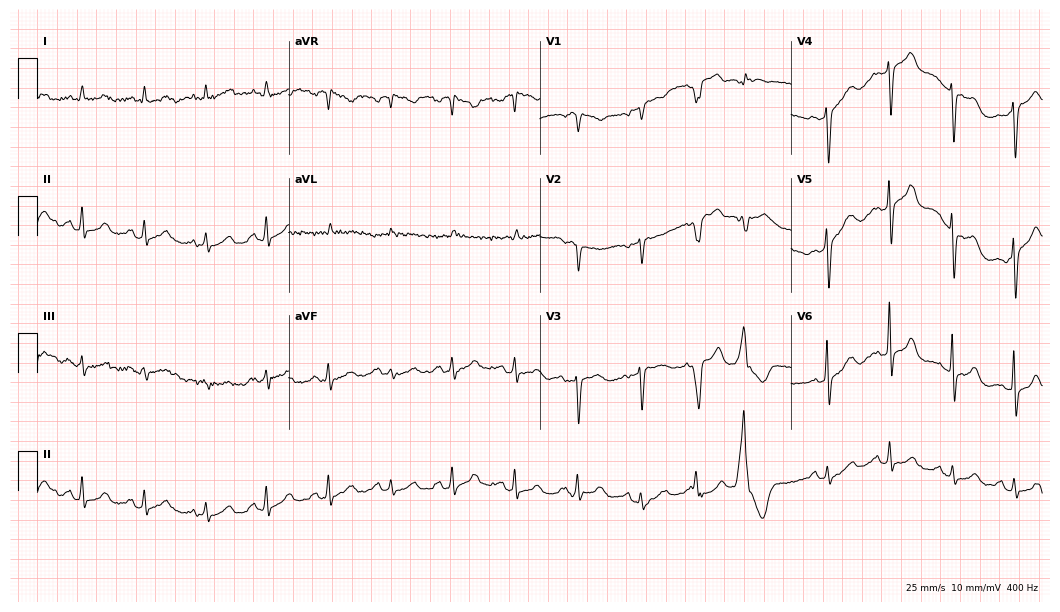
12-lead ECG from an 85-year-old female (10.2-second recording at 400 Hz). No first-degree AV block, right bundle branch block, left bundle branch block, sinus bradycardia, atrial fibrillation or sinus tachycardia recorded for this tracing.